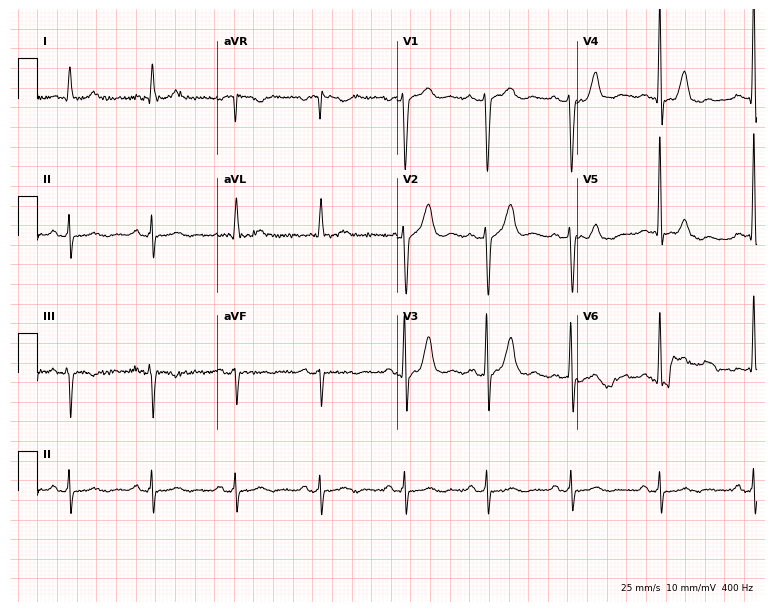
Standard 12-lead ECG recorded from a 78-year-old man. Read as a normal ECG.